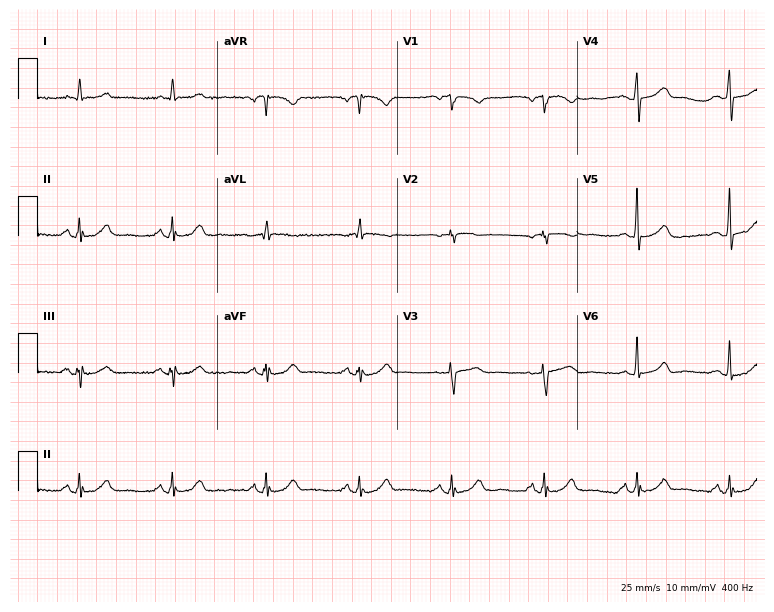
12-lead ECG (7.3-second recording at 400 Hz) from a man, 65 years old. Screened for six findings — first-degree AV block, right bundle branch block (RBBB), left bundle branch block (LBBB), sinus bradycardia, atrial fibrillation (AF), sinus tachycardia — none is recorded.